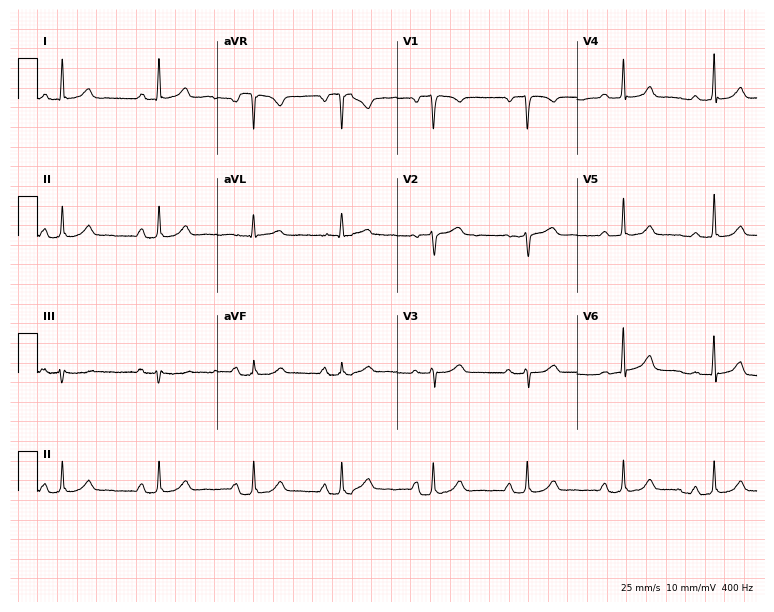
12-lead ECG from a female, 43 years old. Labelled as a normal ECG.